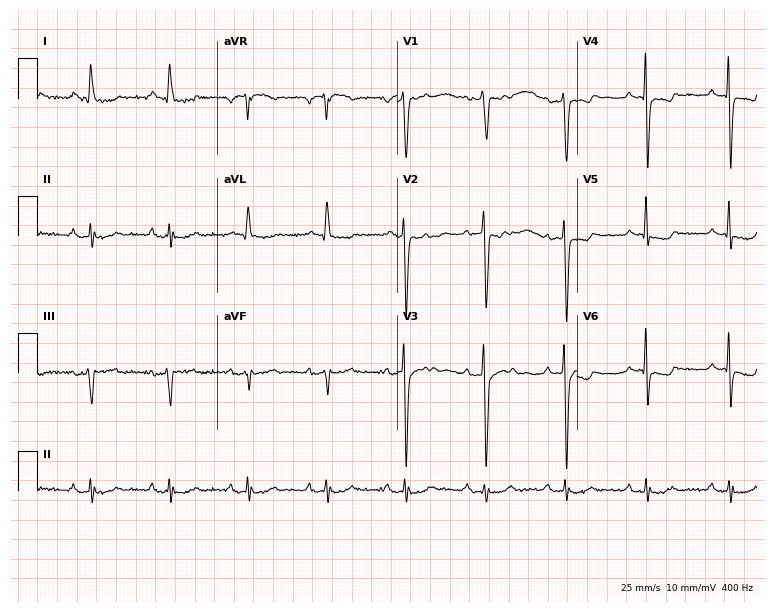
12-lead ECG from a male patient, 64 years old. Screened for six findings — first-degree AV block, right bundle branch block (RBBB), left bundle branch block (LBBB), sinus bradycardia, atrial fibrillation (AF), sinus tachycardia — none is recorded. Other findings, if any, are not listed.